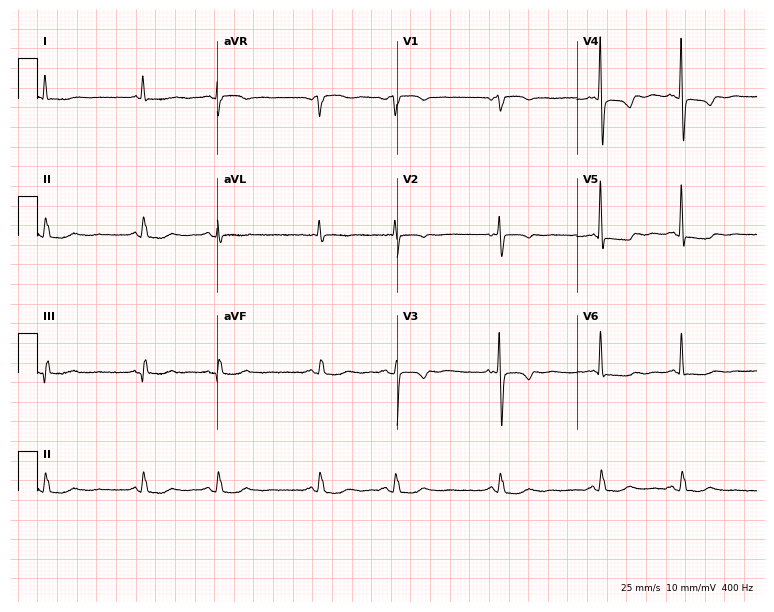
12-lead ECG (7.3-second recording at 400 Hz) from a 76-year-old woman. Screened for six findings — first-degree AV block, right bundle branch block (RBBB), left bundle branch block (LBBB), sinus bradycardia, atrial fibrillation (AF), sinus tachycardia — none is recorded. Findings outside these six are not listed.